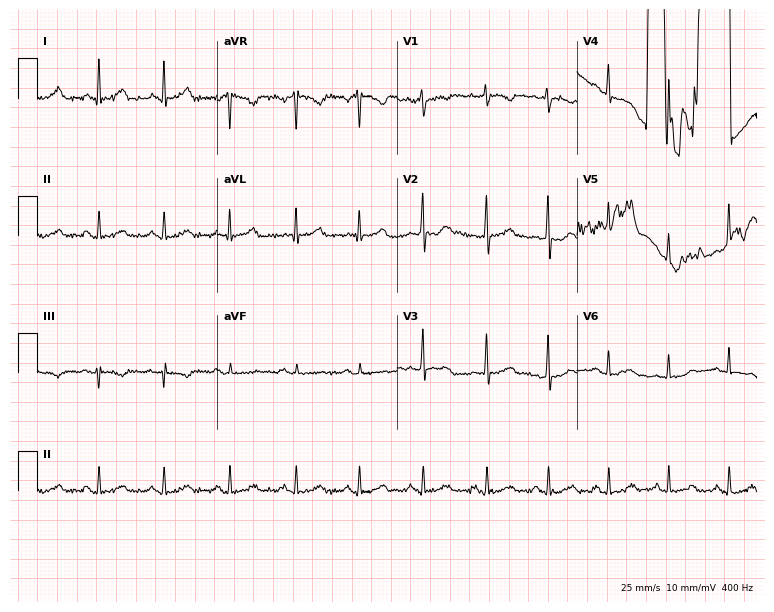
Electrocardiogram (7.3-second recording at 400 Hz), a 28-year-old female patient. Of the six screened findings (first-degree AV block, right bundle branch block, left bundle branch block, sinus bradycardia, atrial fibrillation, sinus tachycardia), none is recorded.